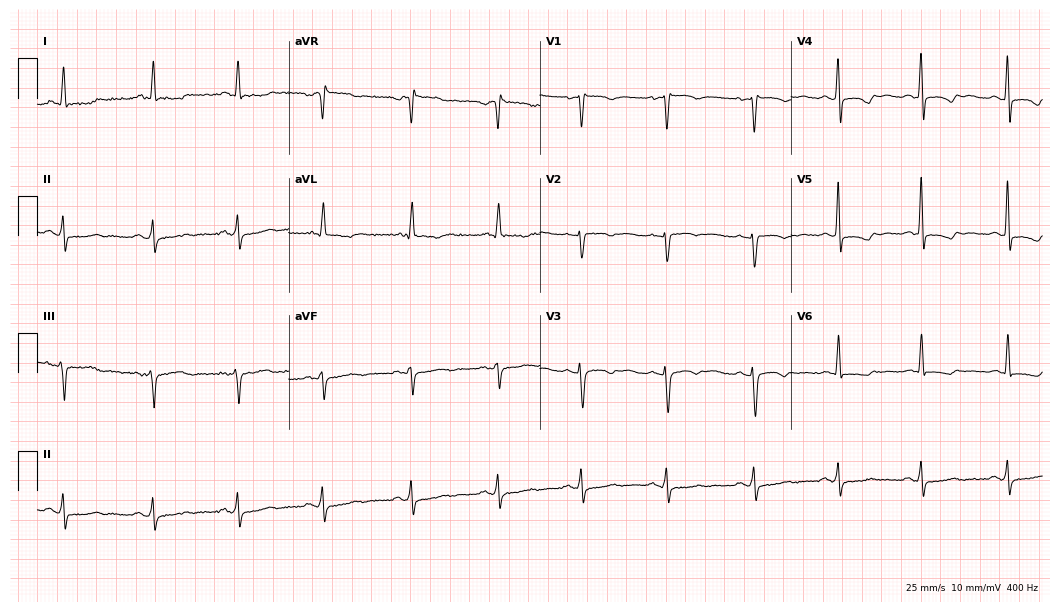
Standard 12-lead ECG recorded from a female, 58 years old. None of these six findings is recorded: first-degree AV block, right bundle branch block (RBBB), left bundle branch block (LBBB), sinus bradycardia, atrial fibrillation (AF), sinus tachycardia.